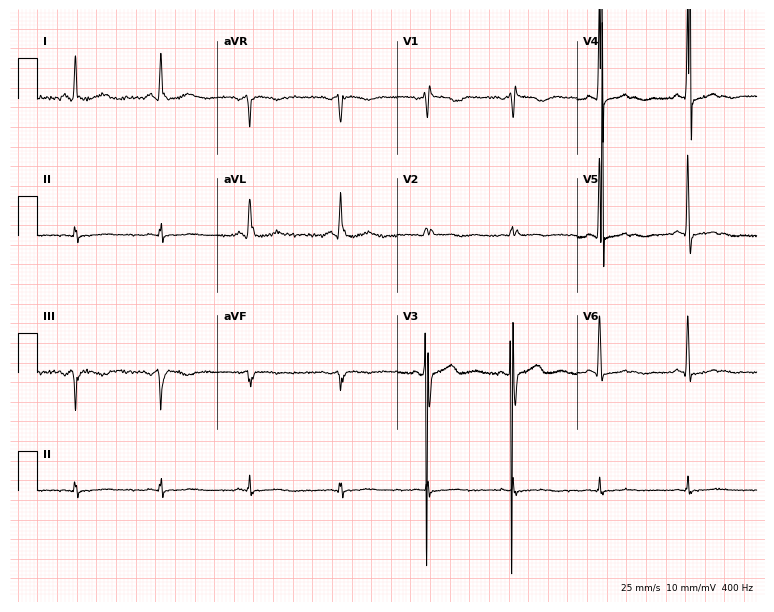
ECG (7.3-second recording at 400 Hz) — a woman, 65 years old. Screened for six findings — first-degree AV block, right bundle branch block (RBBB), left bundle branch block (LBBB), sinus bradycardia, atrial fibrillation (AF), sinus tachycardia — none is recorded. Findings outside these six are not listed.